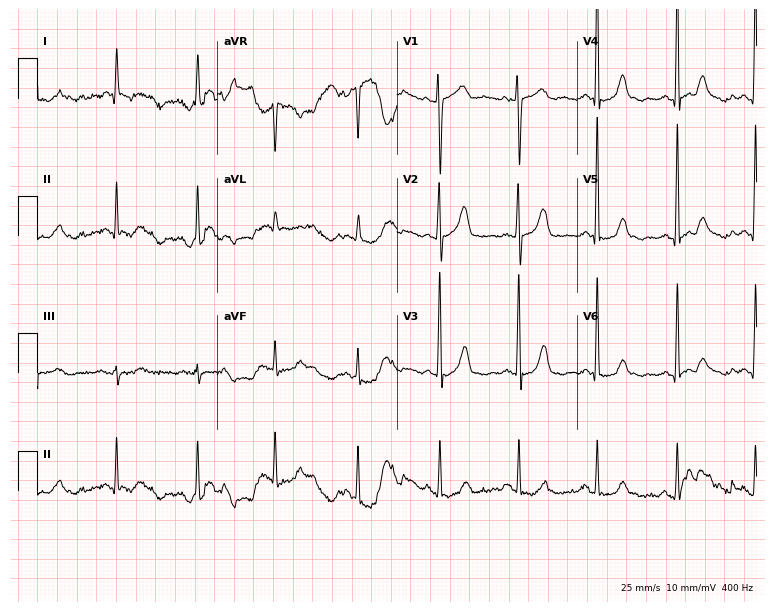
Standard 12-lead ECG recorded from a 73-year-old woman. None of these six findings is recorded: first-degree AV block, right bundle branch block (RBBB), left bundle branch block (LBBB), sinus bradycardia, atrial fibrillation (AF), sinus tachycardia. Only these six findings were labelled.